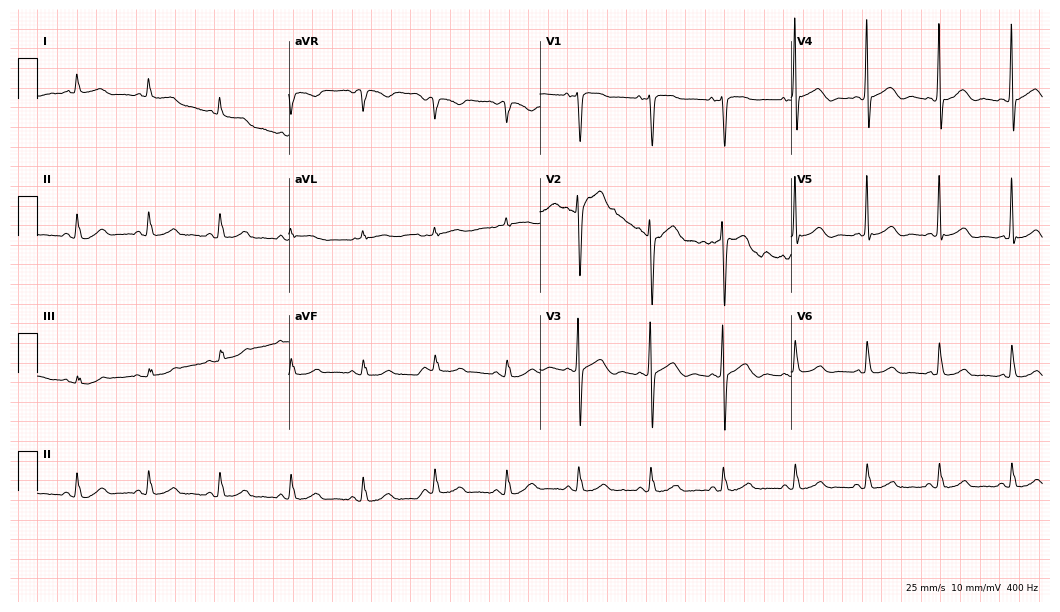
12-lead ECG from a woman, 81 years old (10.2-second recording at 400 Hz). Recorded interpretation: within normal limits.